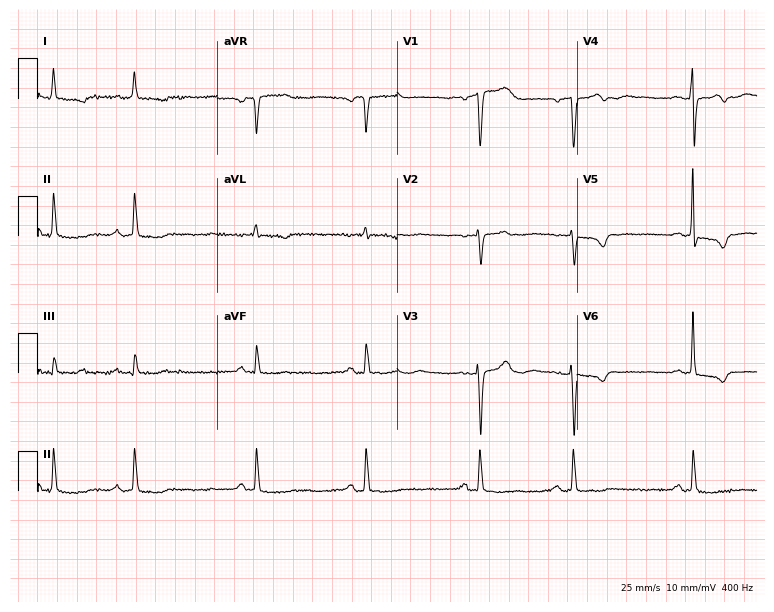
12-lead ECG from a 71-year-old woman. Screened for six findings — first-degree AV block, right bundle branch block (RBBB), left bundle branch block (LBBB), sinus bradycardia, atrial fibrillation (AF), sinus tachycardia — none is recorded.